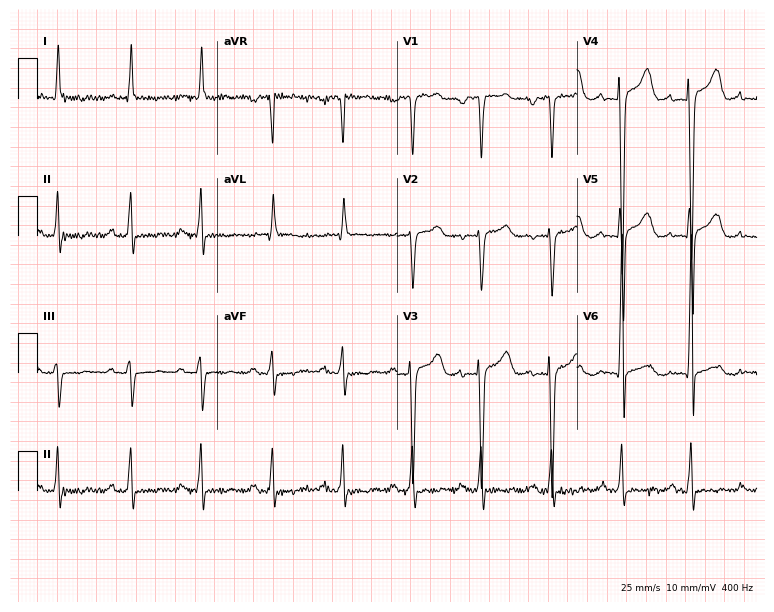
ECG (7.3-second recording at 400 Hz) — a male, 72 years old. Screened for six findings — first-degree AV block, right bundle branch block, left bundle branch block, sinus bradycardia, atrial fibrillation, sinus tachycardia — none is recorded.